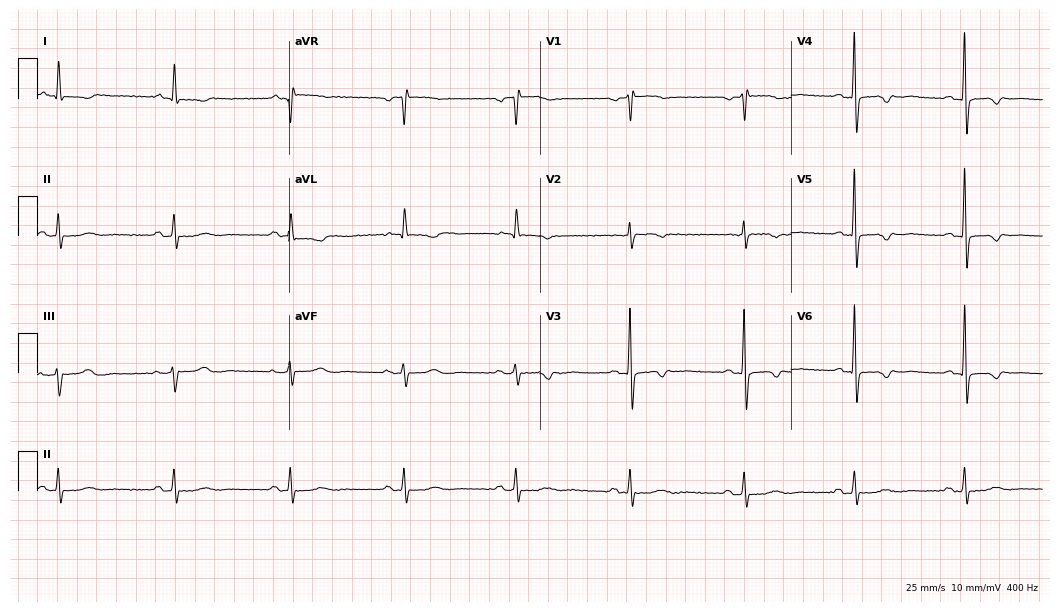
ECG — an 80-year-old man. Screened for six findings — first-degree AV block, right bundle branch block, left bundle branch block, sinus bradycardia, atrial fibrillation, sinus tachycardia — none is recorded. Other findings, if any, are not listed.